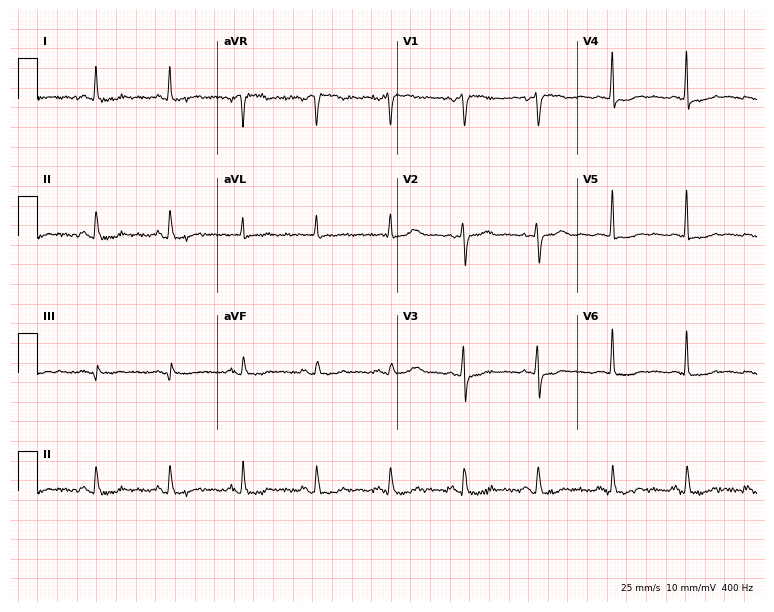
ECG — a female, 60 years old. Screened for six findings — first-degree AV block, right bundle branch block (RBBB), left bundle branch block (LBBB), sinus bradycardia, atrial fibrillation (AF), sinus tachycardia — none is recorded.